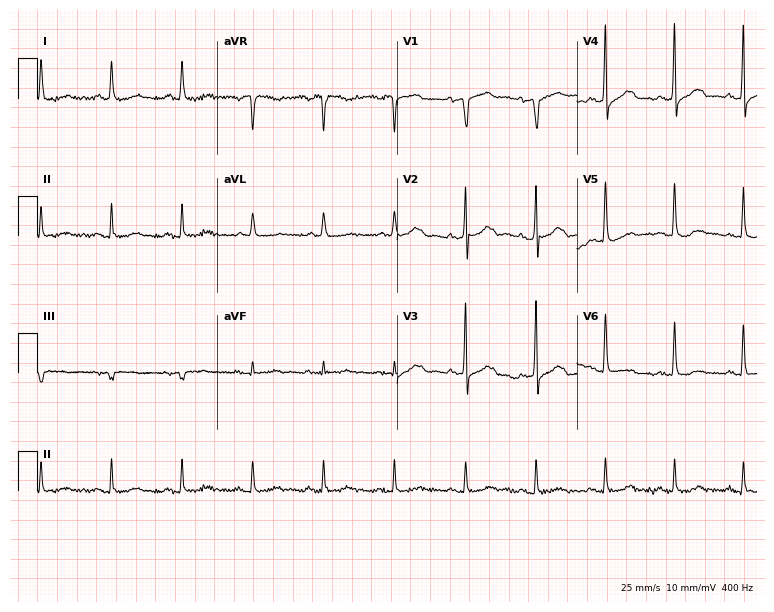
ECG — a 75-year-old woman. Screened for six findings — first-degree AV block, right bundle branch block, left bundle branch block, sinus bradycardia, atrial fibrillation, sinus tachycardia — none is recorded.